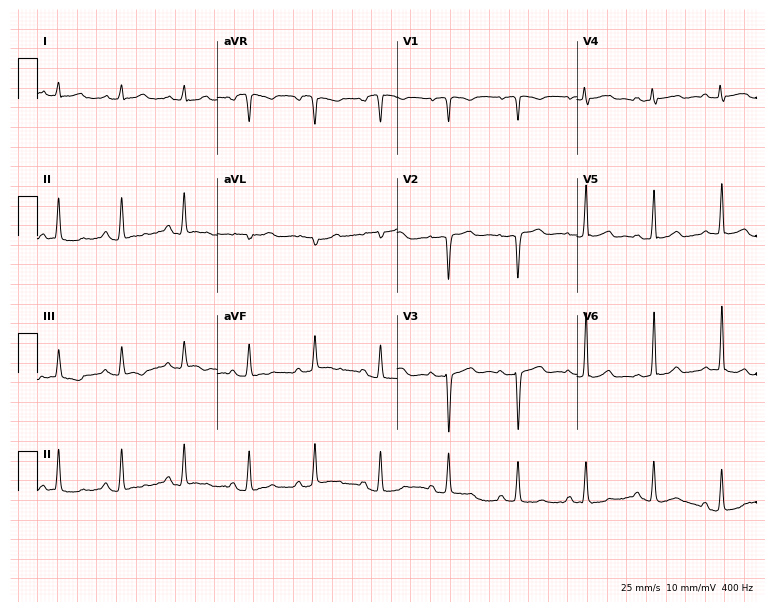
ECG — a female patient, 19 years old. Screened for six findings — first-degree AV block, right bundle branch block, left bundle branch block, sinus bradycardia, atrial fibrillation, sinus tachycardia — none is recorded. Only these six findings were labelled.